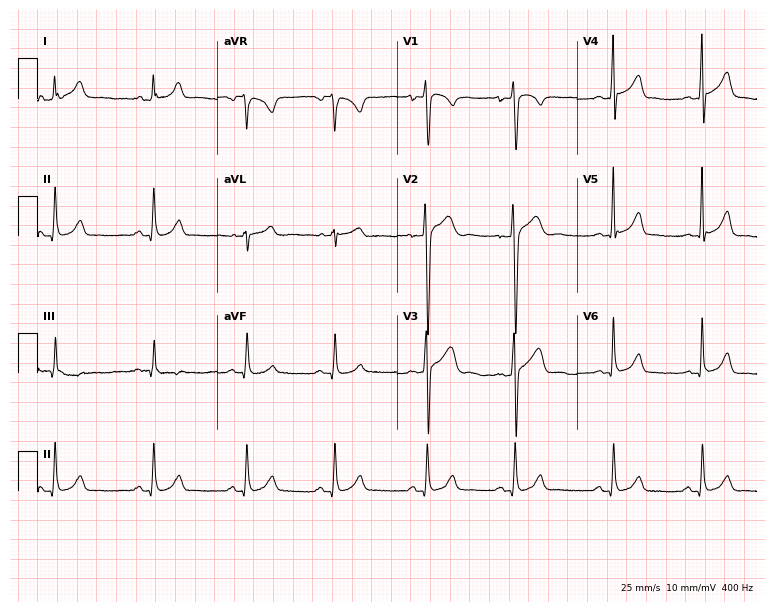
Electrocardiogram (7.3-second recording at 400 Hz), a 19-year-old male. Overall reading on record: normal ECG.